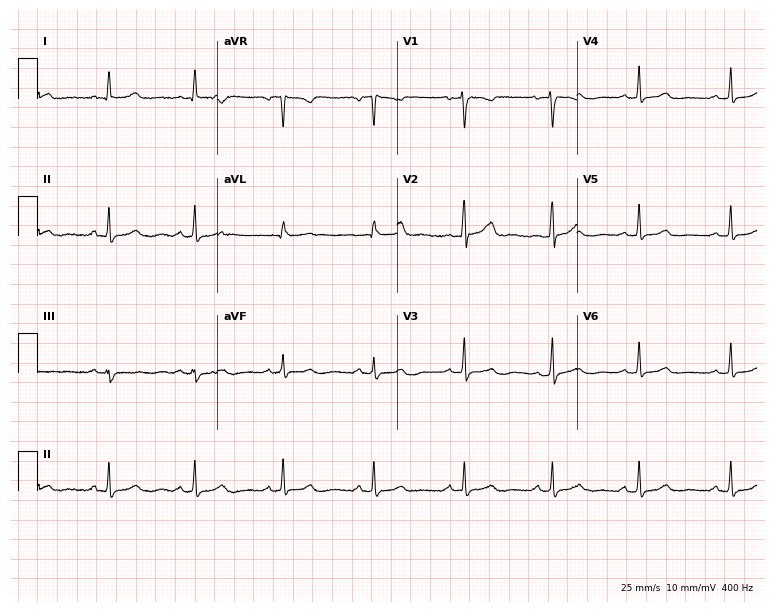
ECG — a female, 40 years old. Labelled as a normal ECG.